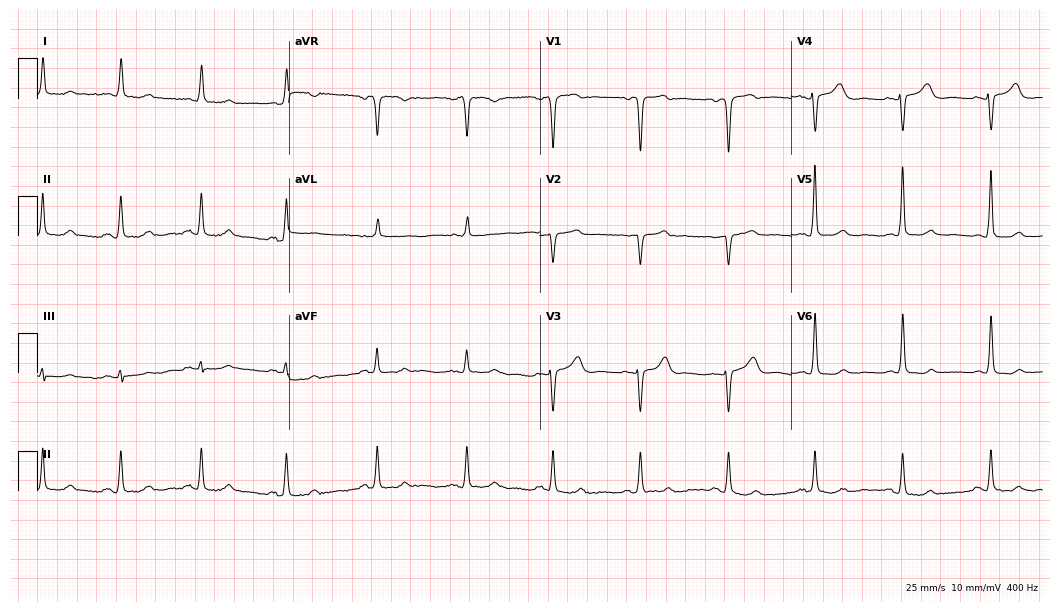
Electrocardiogram (10.2-second recording at 400 Hz), a 65-year-old female patient. Of the six screened findings (first-degree AV block, right bundle branch block (RBBB), left bundle branch block (LBBB), sinus bradycardia, atrial fibrillation (AF), sinus tachycardia), none is recorded. Other findings, if any, are not listed.